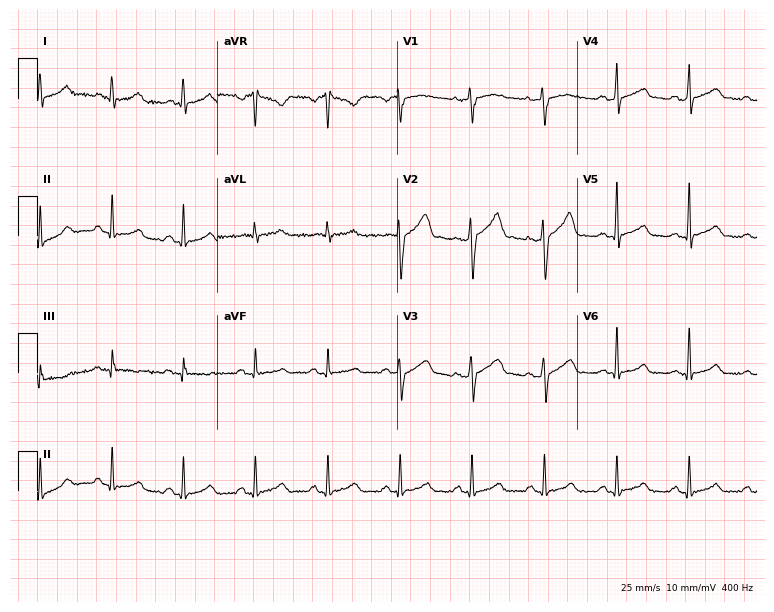
Resting 12-lead electrocardiogram. Patient: a 42-year-old man. Read as a normal ECG.